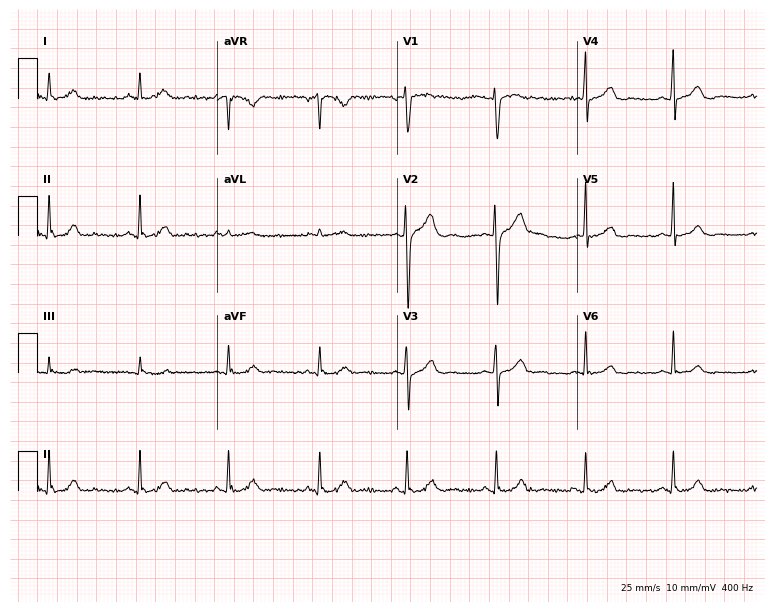
Electrocardiogram, a 36-year-old male patient. Overall reading on record: normal ECG.